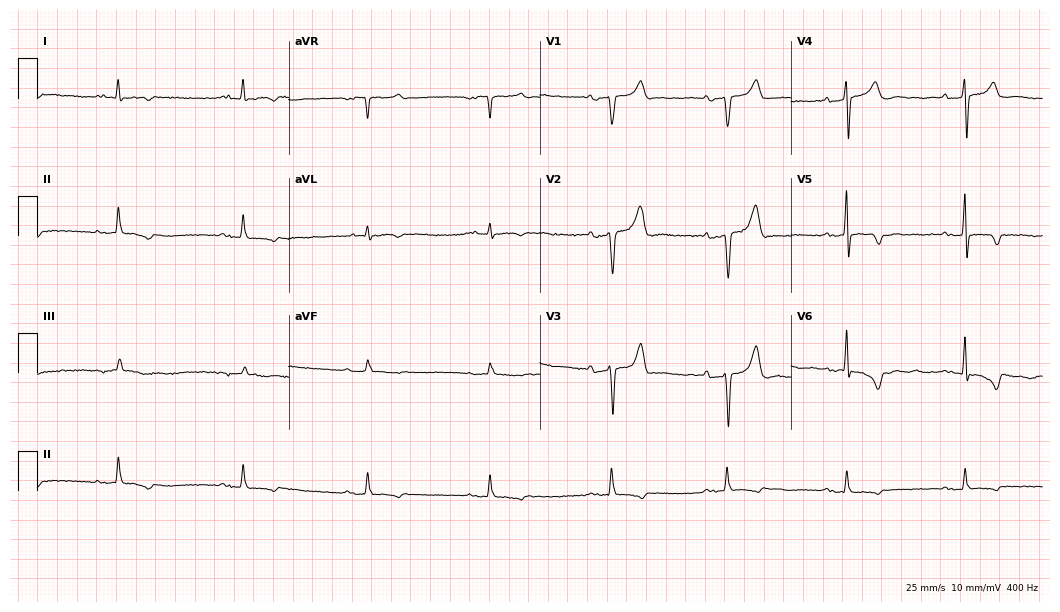
Electrocardiogram, a 78-year-old man. Of the six screened findings (first-degree AV block, right bundle branch block, left bundle branch block, sinus bradycardia, atrial fibrillation, sinus tachycardia), none is recorded. Findings outside these six are not listed.